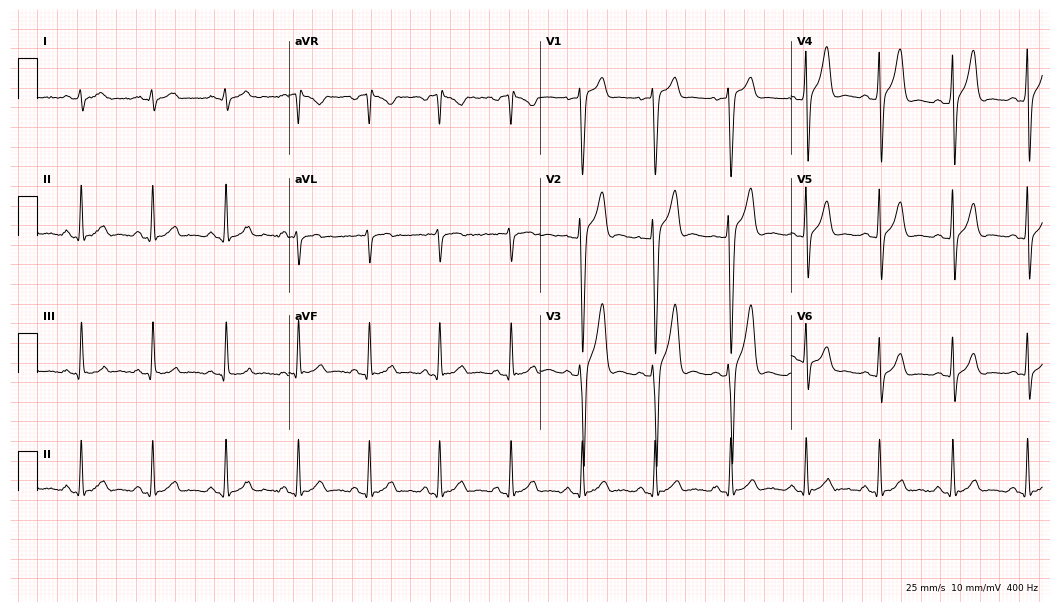
12-lead ECG from a 21-year-old man (10.2-second recording at 400 Hz). No first-degree AV block, right bundle branch block, left bundle branch block, sinus bradycardia, atrial fibrillation or sinus tachycardia recorded for this tracing.